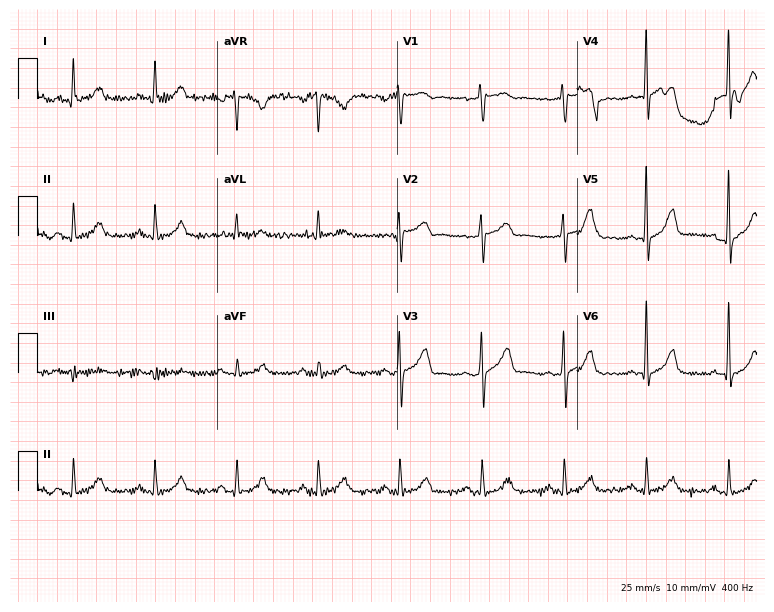
Resting 12-lead electrocardiogram. Patient: a man, 75 years old. Read as a normal ECG.